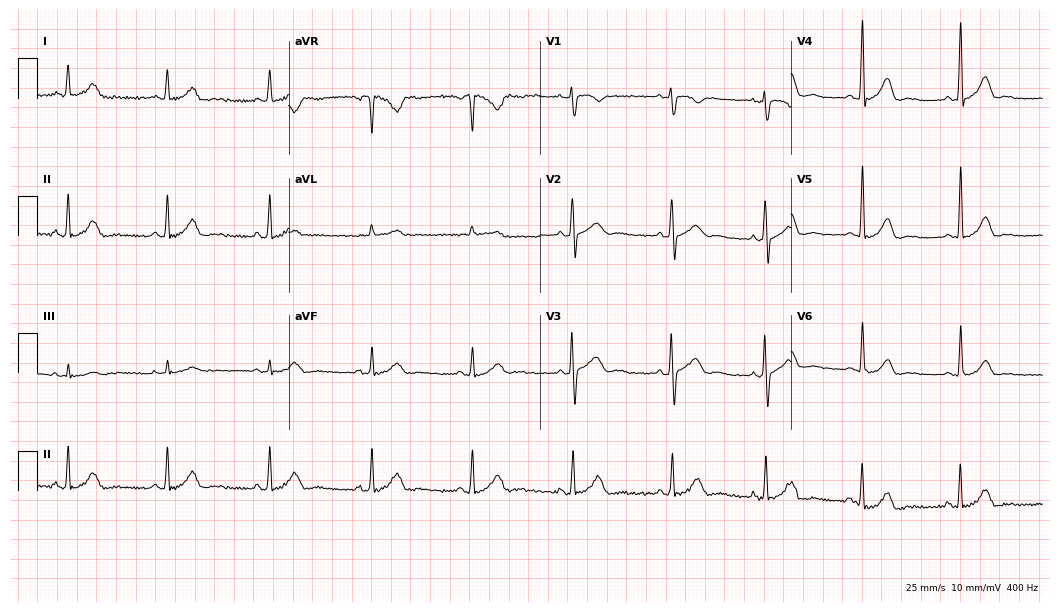
ECG (10.2-second recording at 400 Hz) — a 38-year-old female patient. Labelled as a normal ECG.